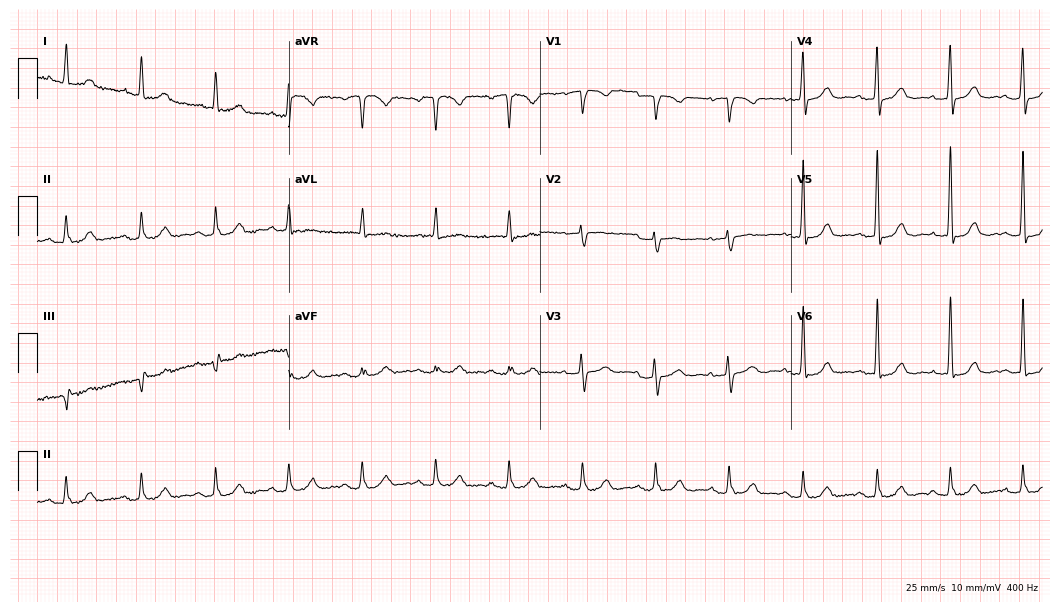
12-lead ECG from a 67-year-old female patient. Recorded interpretation: within normal limits.